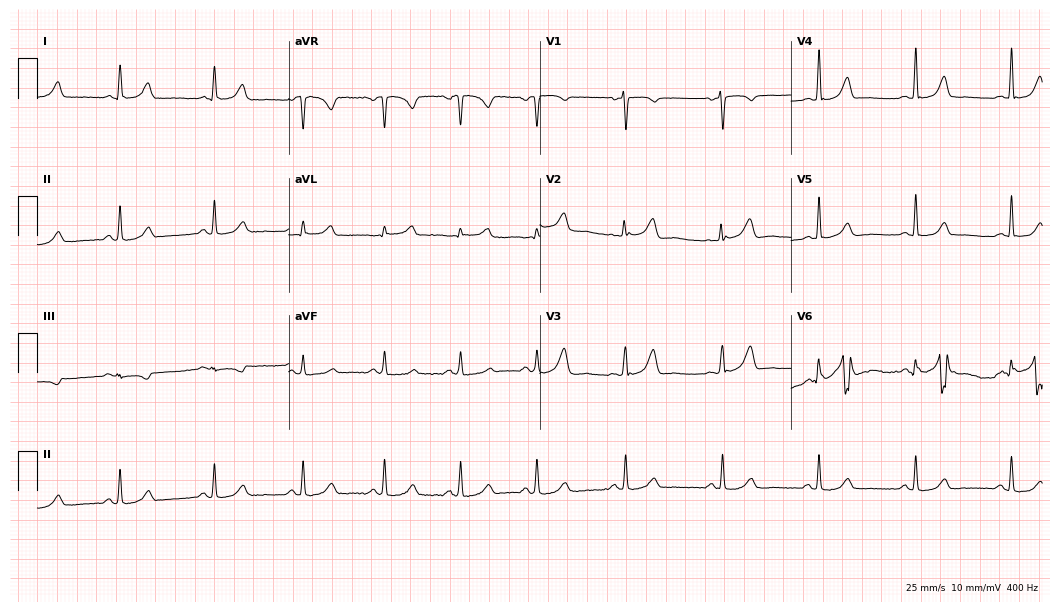
12-lead ECG from a female patient, 52 years old (10.2-second recording at 400 Hz). Recorded interpretation: within normal limits.